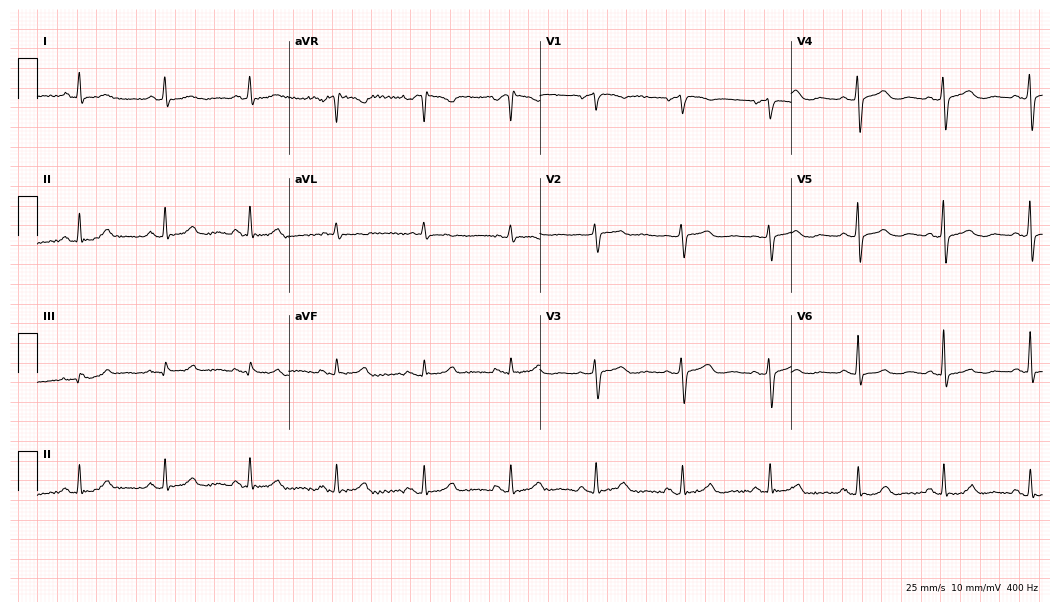
ECG (10.2-second recording at 400 Hz) — a 74-year-old woman. Screened for six findings — first-degree AV block, right bundle branch block, left bundle branch block, sinus bradycardia, atrial fibrillation, sinus tachycardia — none is recorded.